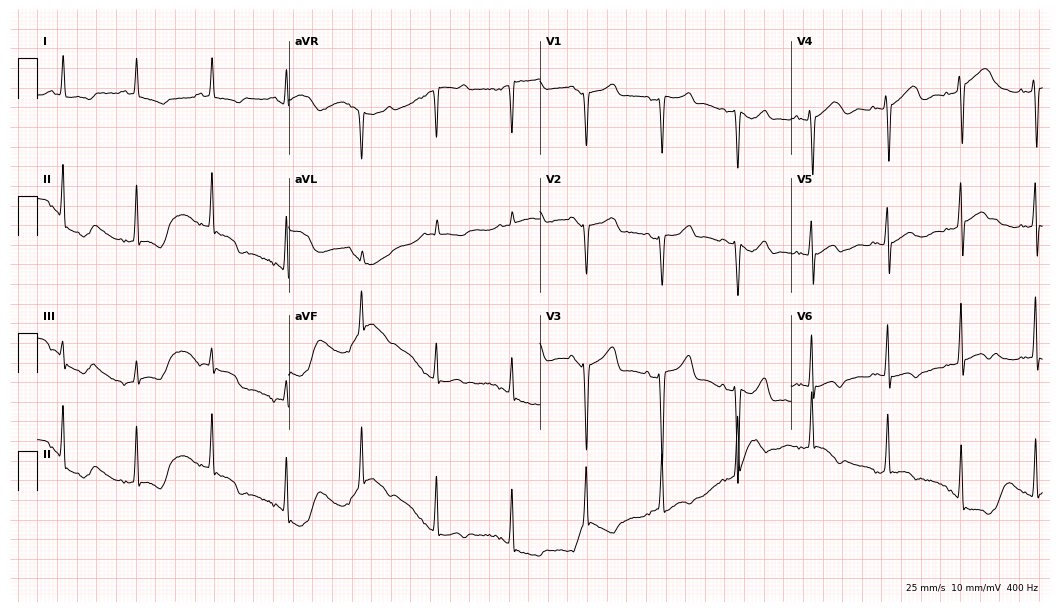
Resting 12-lead electrocardiogram (10.2-second recording at 400 Hz). Patient: a 40-year-old female. None of these six findings is recorded: first-degree AV block, right bundle branch block, left bundle branch block, sinus bradycardia, atrial fibrillation, sinus tachycardia.